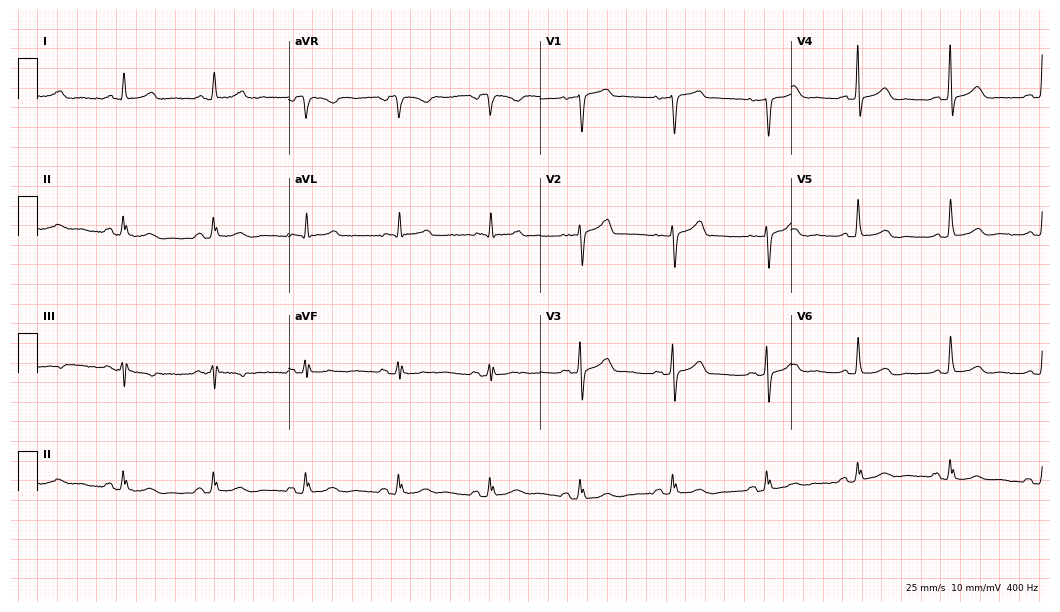
ECG (10.2-second recording at 400 Hz) — a woman, 62 years old. Screened for six findings — first-degree AV block, right bundle branch block, left bundle branch block, sinus bradycardia, atrial fibrillation, sinus tachycardia — none is recorded.